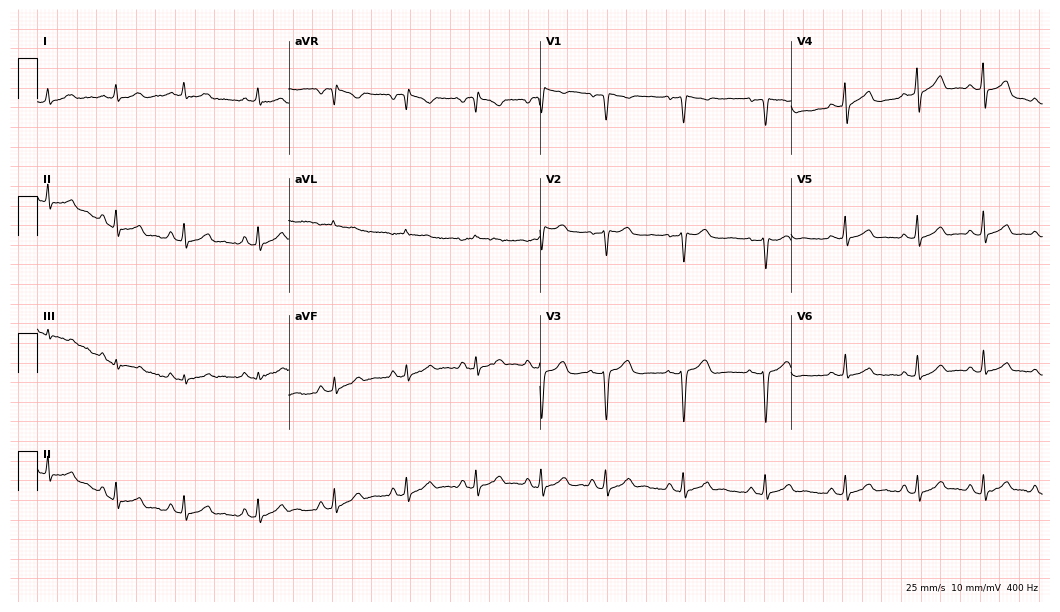
Resting 12-lead electrocardiogram (10.2-second recording at 400 Hz). Patient: a female, 26 years old. None of these six findings is recorded: first-degree AV block, right bundle branch block, left bundle branch block, sinus bradycardia, atrial fibrillation, sinus tachycardia. Only these six findings were labelled.